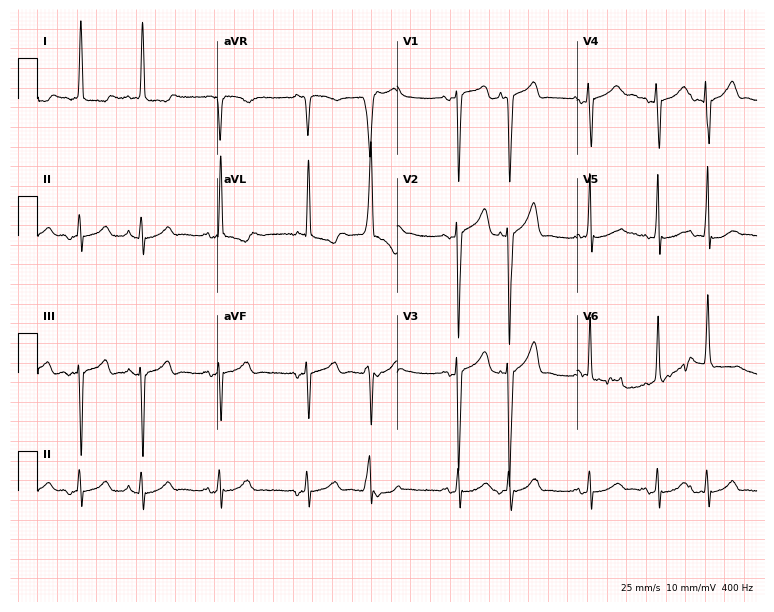
12-lead ECG from a female, 80 years old. No first-degree AV block, right bundle branch block (RBBB), left bundle branch block (LBBB), sinus bradycardia, atrial fibrillation (AF) or sinus tachycardia recorded for this tracing.